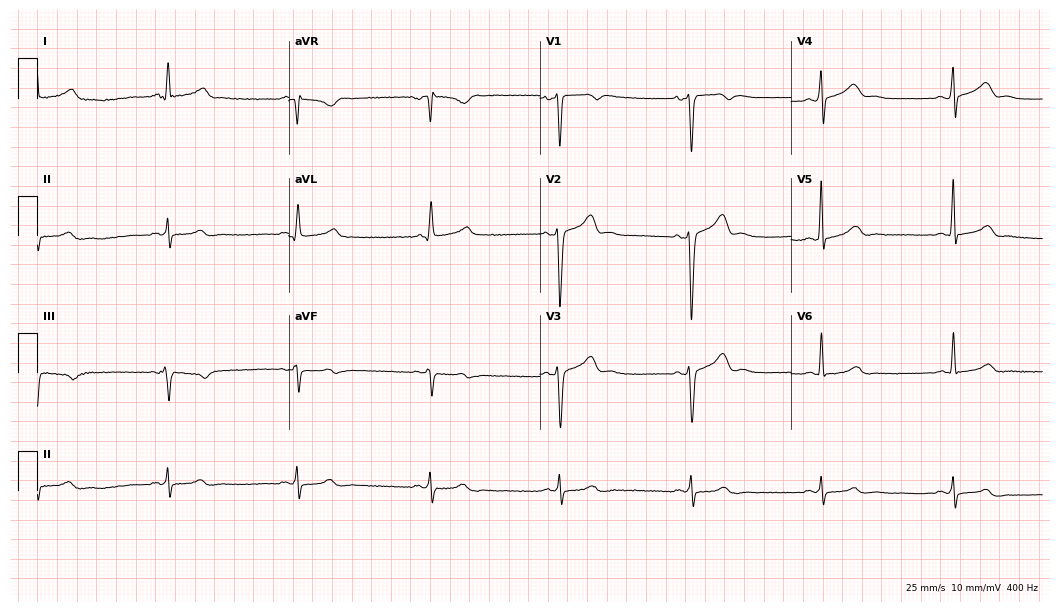
12-lead ECG (10.2-second recording at 400 Hz) from a man, 52 years old. Findings include sinus bradycardia (a sinus rate of 50 beats per minute or less).